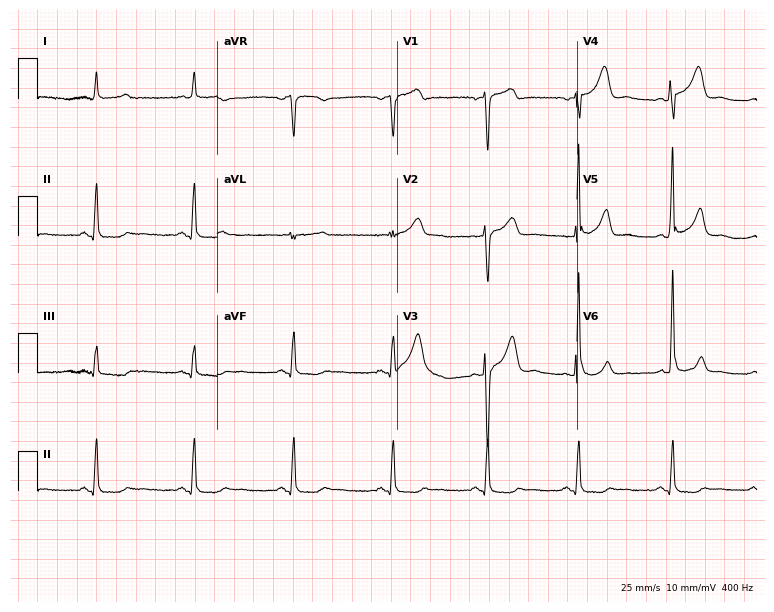
12-lead ECG from a 68-year-old male. Screened for six findings — first-degree AV block, right bundle branch block, left bundle branch block, sinus bradycardia, atrial fibrillation, sinus tachycardia — none is recorded. Only these six findings were labelled.